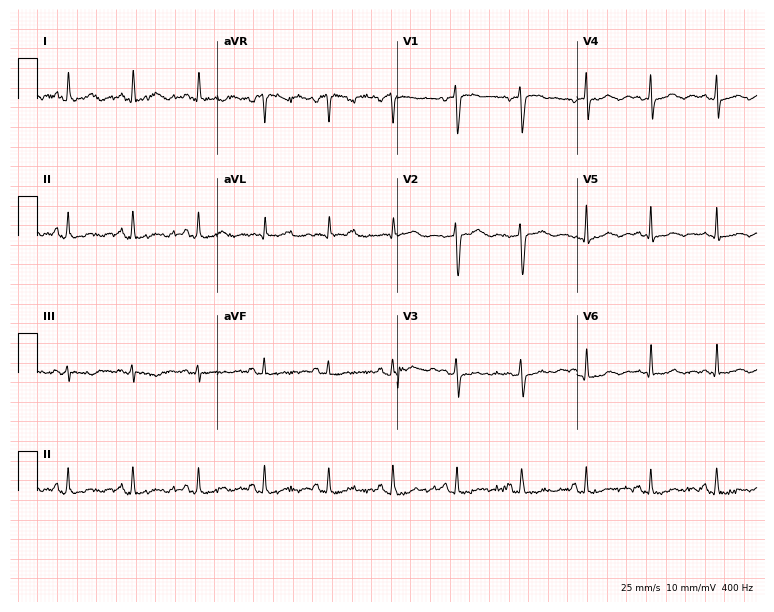
ECG (7.3-second recording at 400 Hz) — a woman, 43 years old. Screened for six findings — first-degree AV block, right bundle branch block (RBBB), left bundle branch block (LBBB), sinus bradycardia, atrial fibrillation (AF), sinus tachycardia — none is recorded.